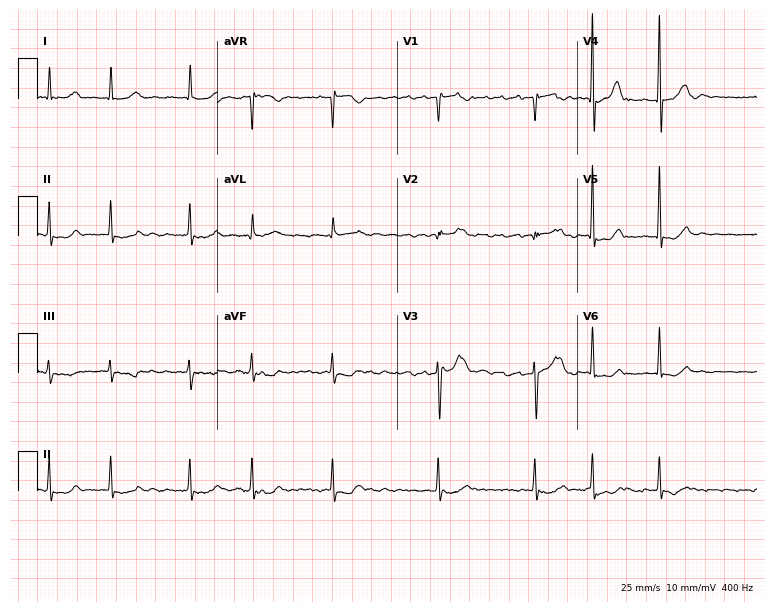
Resting 12-lead electrocardiogram. Patient: an 86-year-old male. The tracing shows atrial fibrillation.